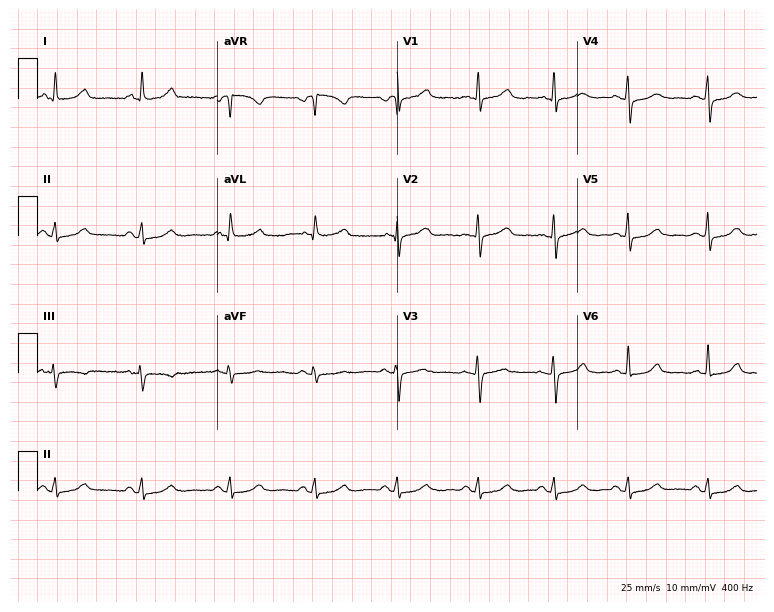
12-lead ECG (7.3-second recording at 400 Hz) from a 56-year-old woman. Screened for six findings — first-degree AV block, right bundle branch block, left bundle branch block, sinus bradycardia, atrial fibrillation, sinus tachycardia — none is recorded.